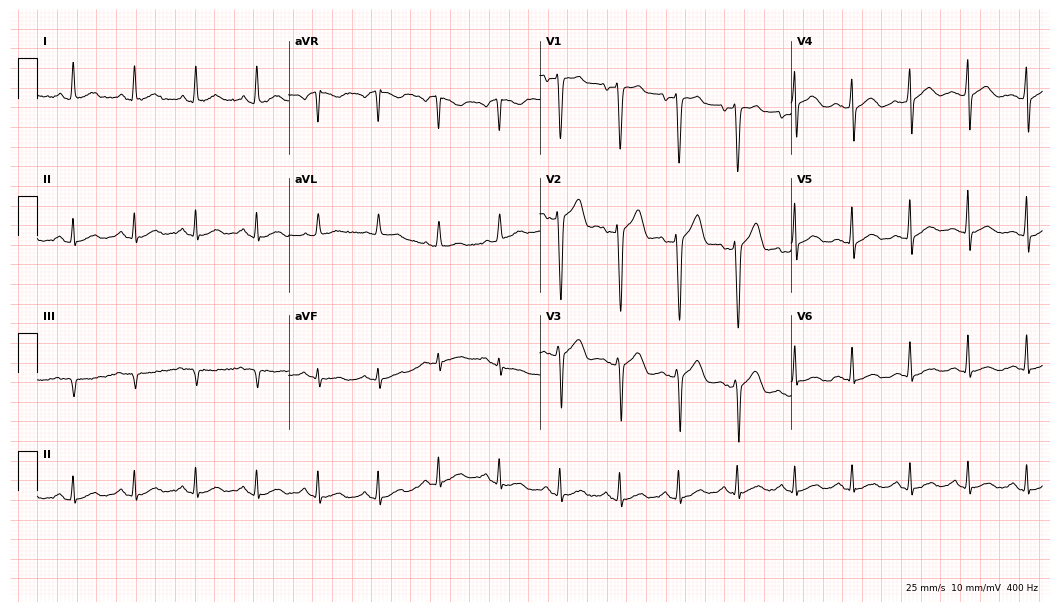
12-lead ECG from a male, 51 years old. Labelled as a normal ECG.